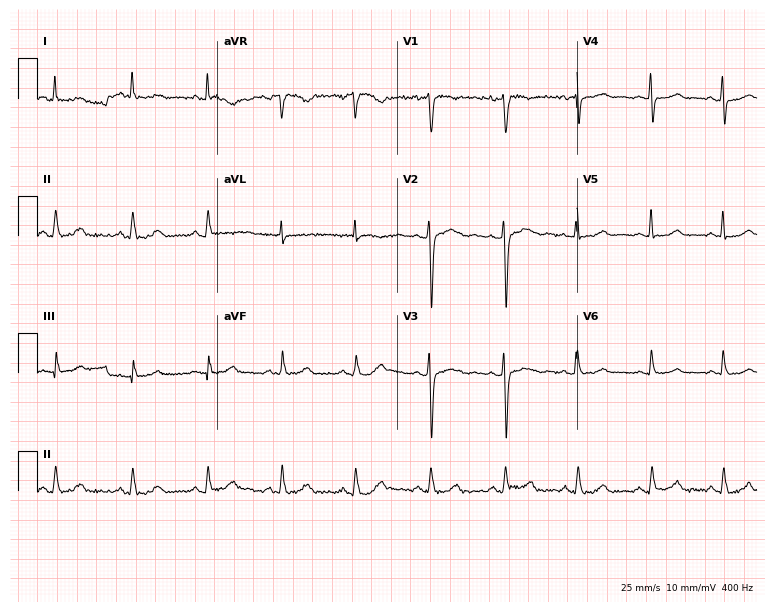
Resting 12-lead electrocardiogram (7.3-second recording at 400 Hz). Patient: a woman, 53 years old. None of these six findings is recorded: first-degree AV block, right bundle branch block, left bundle branch block, sinus bradycardia, atrial fibrillation, sinus tachycardia.